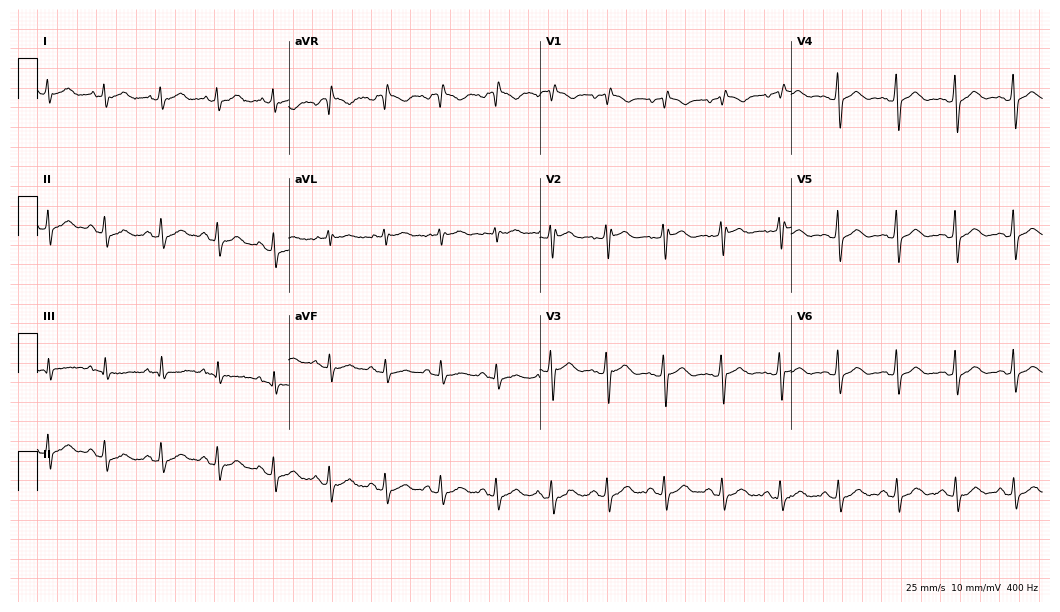
Electrocardiogram, a 54-year-old male patient. Of the six screened findings (first-degree AV block, right bundle branch block (RBBB), left bundle branch block (LBBB), sinus bradycardia, atrial fibrillation (AF), sinus tachycardia), none is recorded. Only these six findings were labelled.